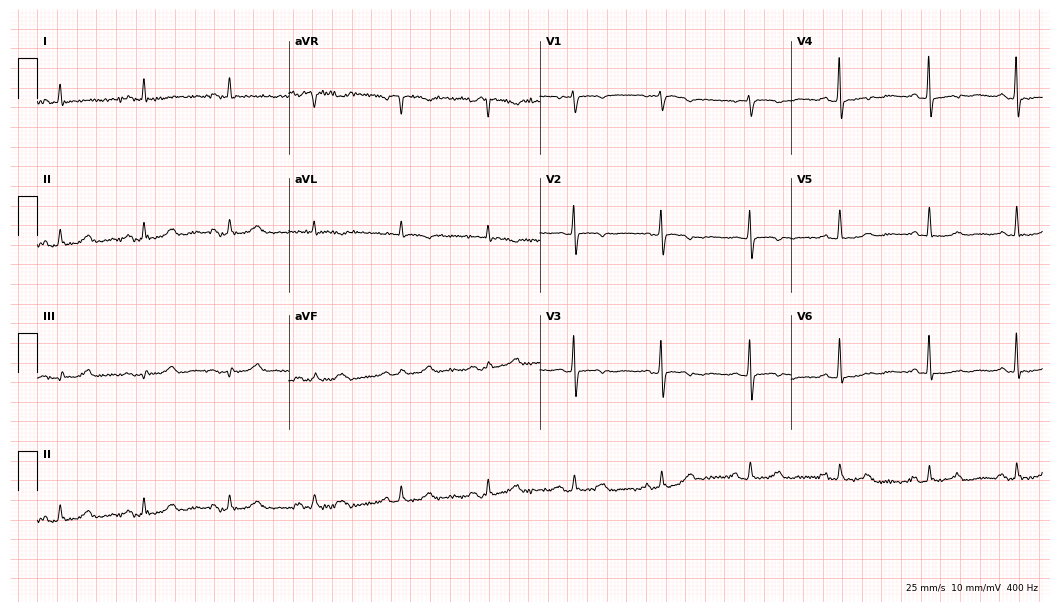
Resting 12-lead electrocardiogram (10.2-second recording at 400 Hz). Patient: a female, 82 years old. None of these six findings is recorded: first-degree AV block, right bundle branch block, left bundle branch block, sinus bradycardia, atrial fibrillation, sinus tachycardia. Other findings, if any, are not listed.